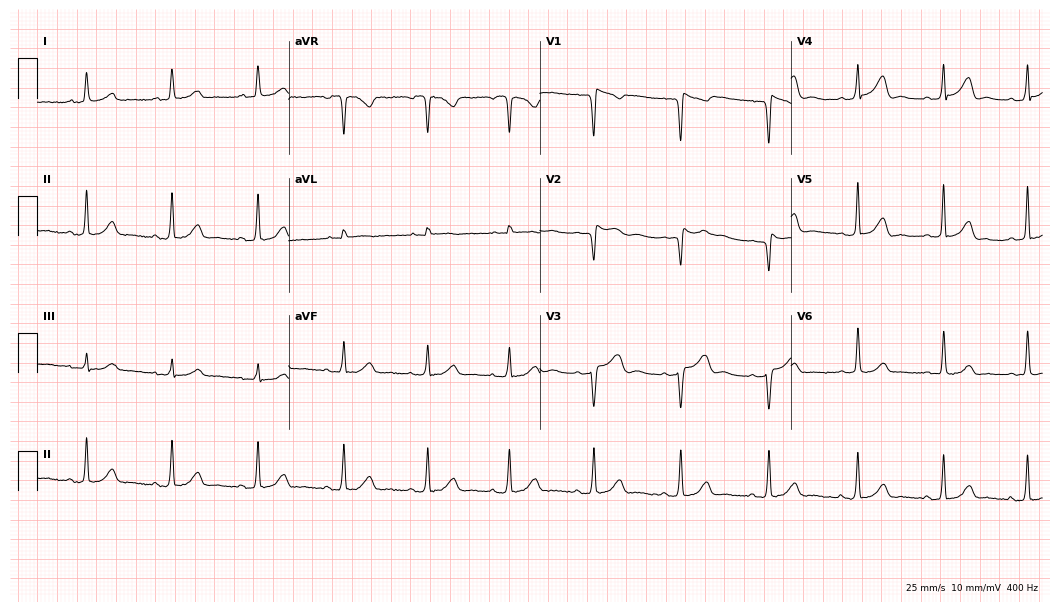
12-lead ECG from a female patient, 42 years old (10.2-second recording at 400 Hz). No first-degree AV block, right bundle branch block, left bundle branch block, sinus bradycardia, atrial fibrillation or sinus tachycardia recorded for this tracing. Other findings, if any, are not listed.